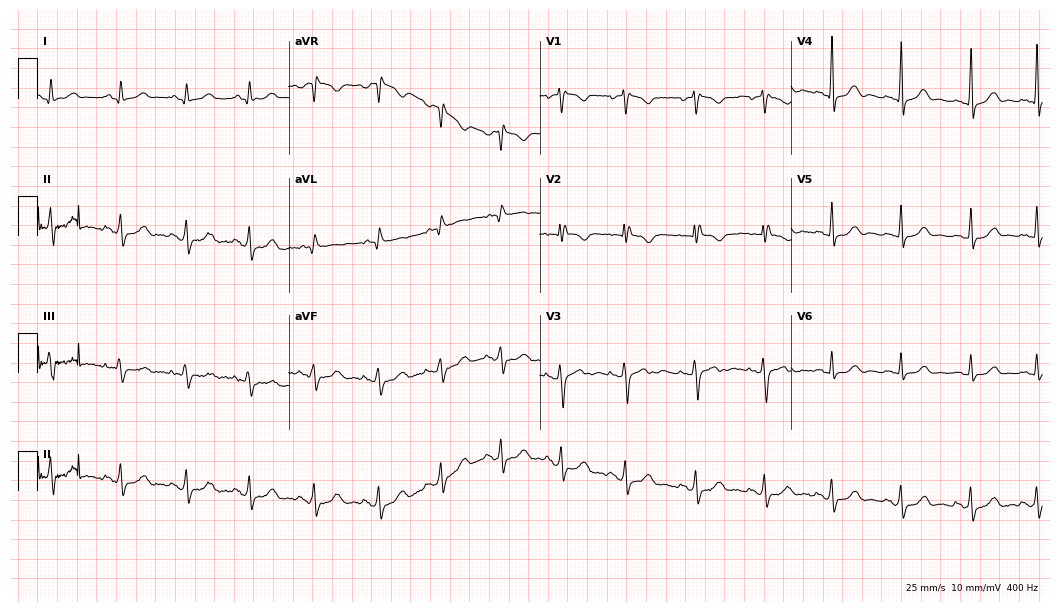
Electrocardiogram, a 21-year-old female patient. Of the six screened findings (first-degree AV block, right bundle branch block (RBBB), left bundle branch block (LBBB), sinus bradycardia, atrial fibrillation (AF), sinus tachycardia), none is recorded. Only these six findings were labelled.